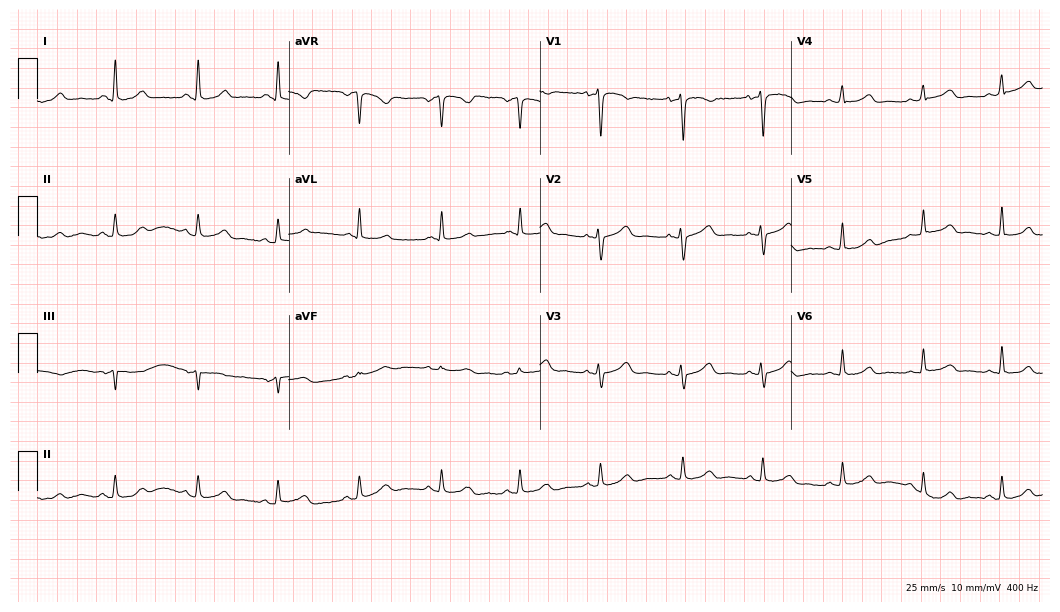
12-lead ECG from a female patient, 35 years old (10.2-second recording at 400 Hz). No first-degree AV block, right bundle branch block, left bundle branch block, sinus bradycardia, atrial fibrillation or sinus tachycardia recorded for this tracing. Only these six findings were labelled.